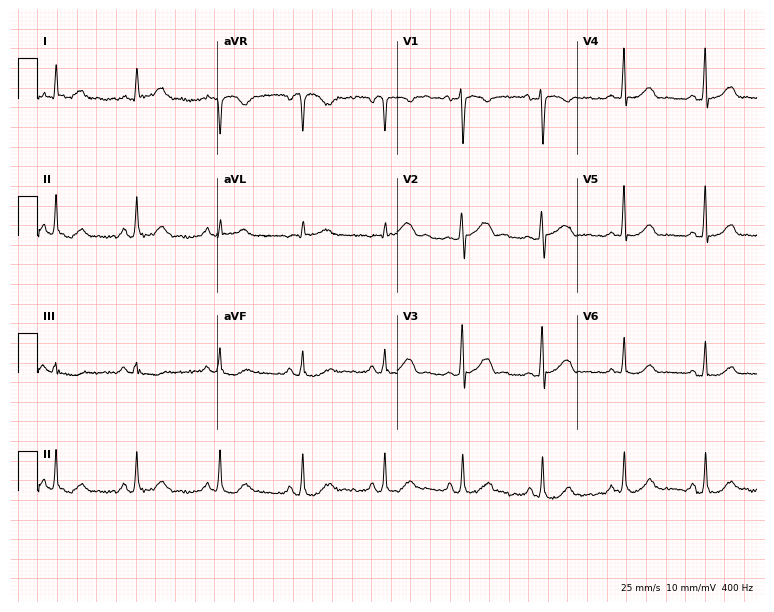
Standard 12-lead ECG recorded from a female, 44 years old (7.3-second recording at 400 Hz). Read as a normal ECG.